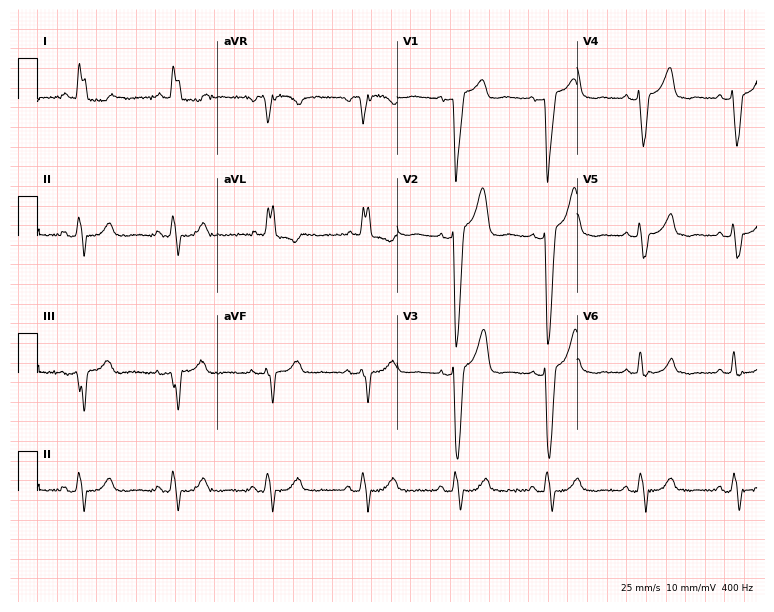
Electrocardiogram (7.3-second recording at 400 Hz), a woman, 61 years old. Interpretation includes left bundle branch block.